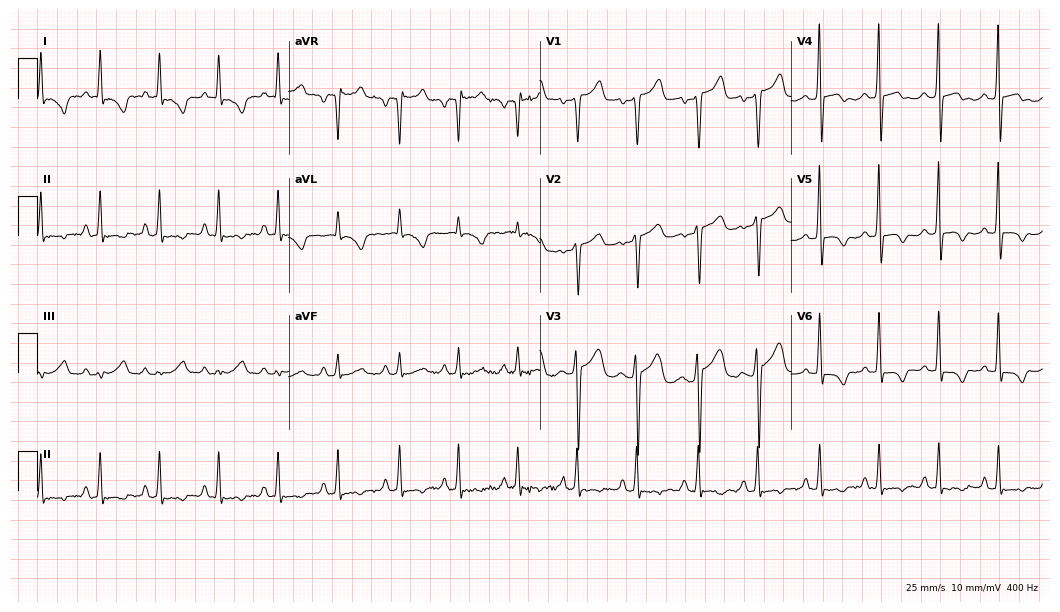
ECG (10.2-second recording at 400 Hz) — a female, 47 years old. Screened for six findings — first-degree AV block, right bundle branch block, left bundle branch block, sinus bradycardia, atrial fibrillation, sinus tachycardia — none is recorded. Other findings, if any, are not listed.